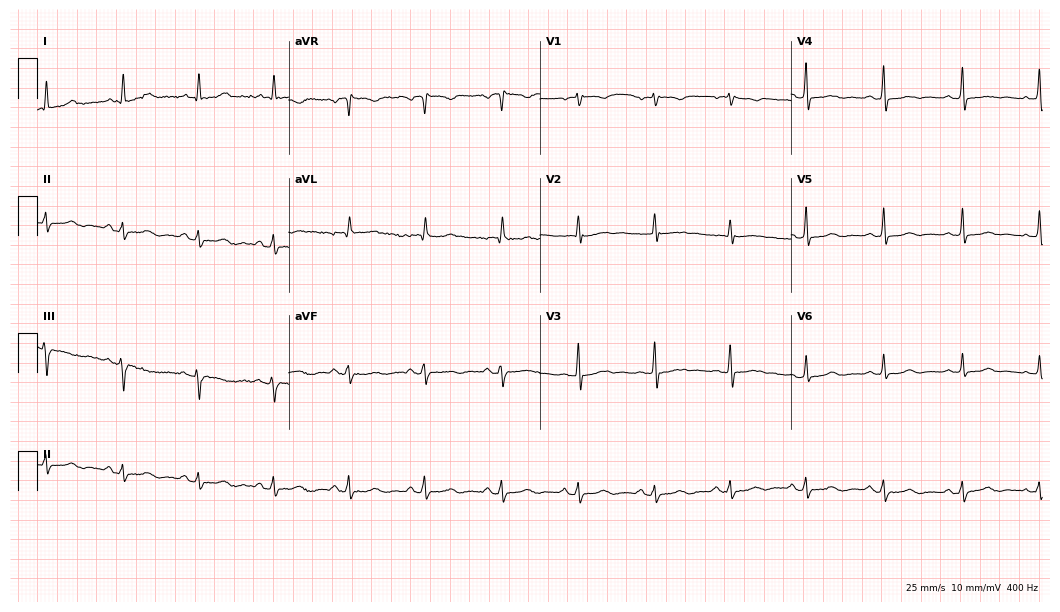
Electrocardiogram, a woman, 51 years old. Overall reading on record: normal ECG.